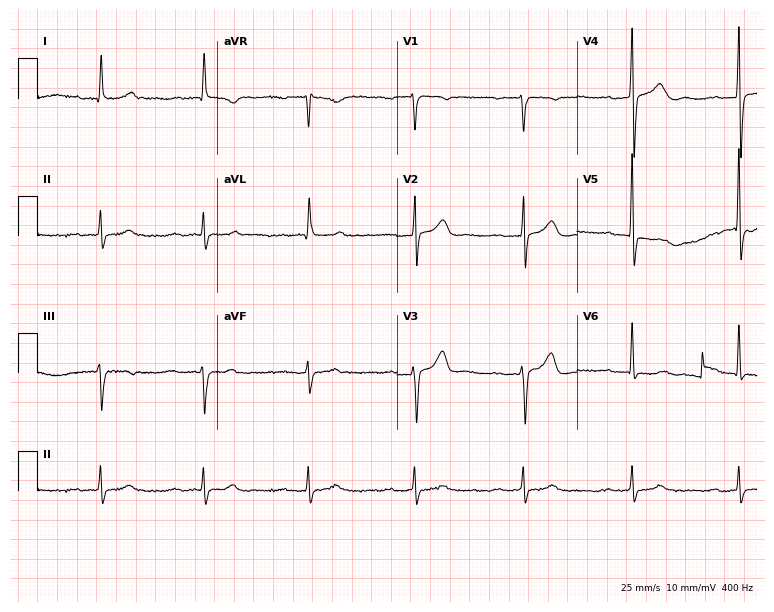
Resting 12-lead electrocardiogram. Patient: a 73-year-old male. None of these six findings is recorded: first-degree AV block, right bundle branch block, left bundle branch block, sinus bradycardia, atrial fibrillation, sinus tachycardia. Only these six findings were labelled.